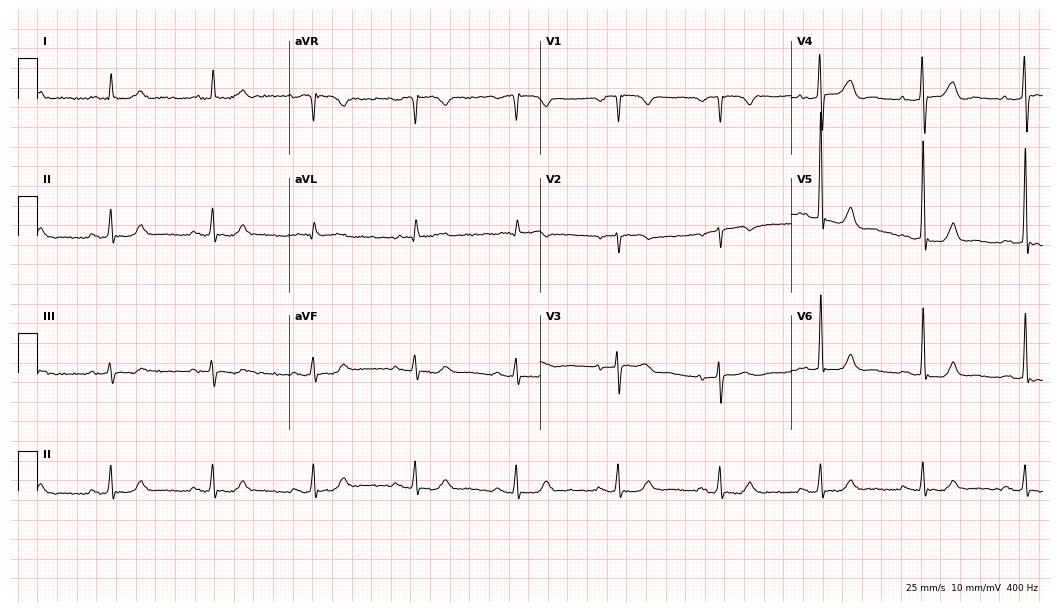
12-lead ECG from an 80-year-old male patient. Labelled as a normal ECG.